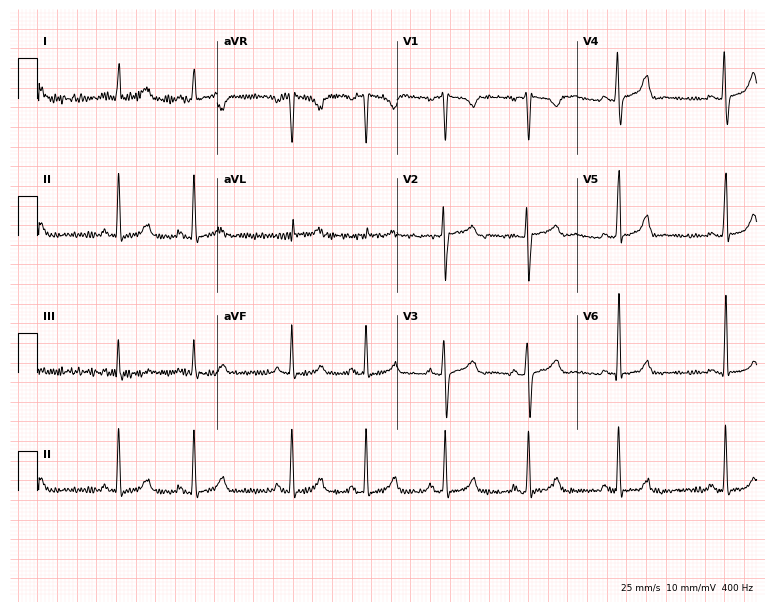
12-lead ECG (7.3-second recording at 400 Hz) from a 34-year-old female patient. Screened for six findings — first-degree AV block, right bundle branch block (RBBB), left bundle branch block (LBBB), sinus bradycardia, atrial fibrillation (AF), sinus tachycardia — none is recorded.